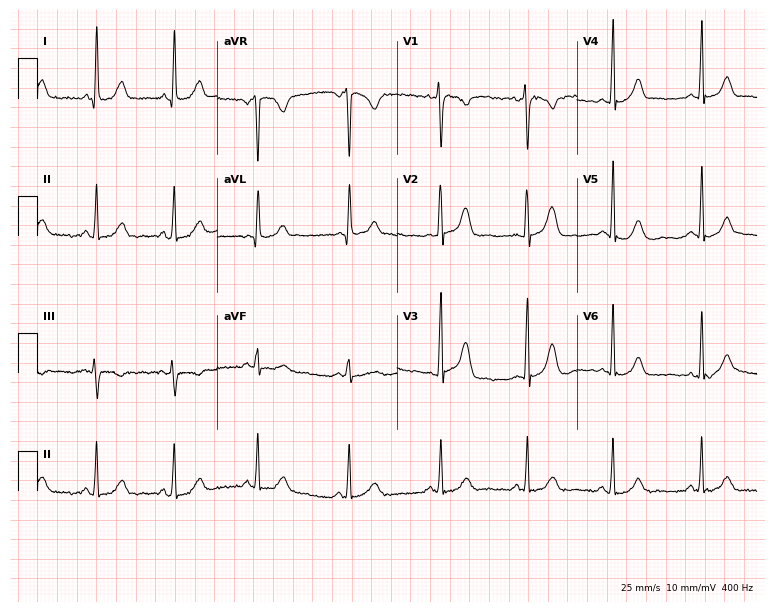
12-lead ECG from a 40-year-old female. Recorded interpretation: within normal limits.